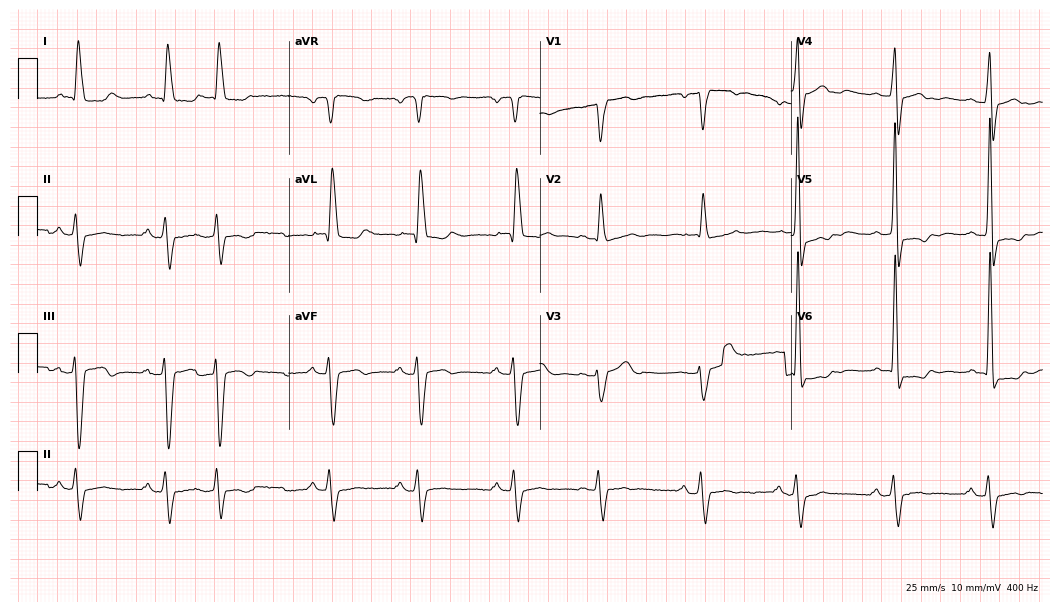
Electrocardiogram, a 79-year-old male. Of the six screened findings (first-degree AV block, right bundle branch block (RBBB), left bundle branch block (LBBB), sinus bradycardia, atrial fibrillation (AF), sinus tachycardia), none is recorded. Other findings, if any, are not listed.